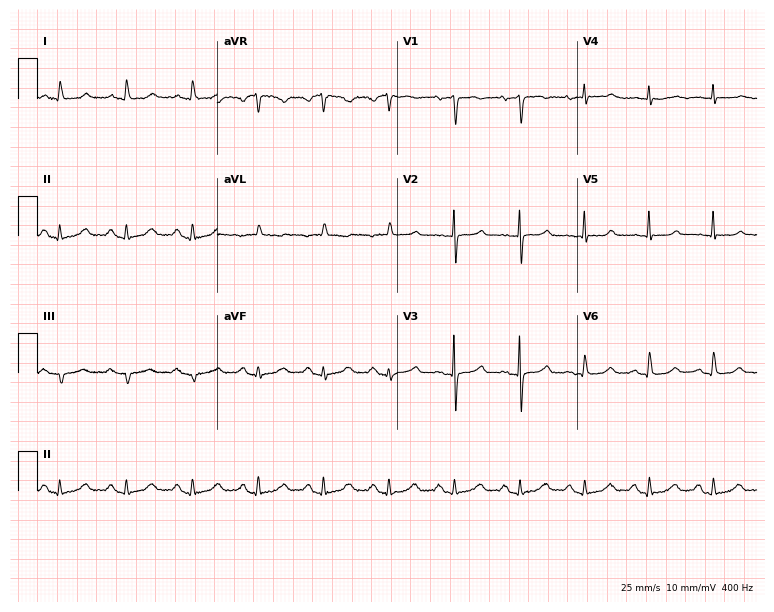
ECG (7.3-second recording at 400 Hz) — a female, 78 years old. Screened for six findings — first-degree AV block, right bundle branch block, left bundle branch block, sinus bradycardia, atrial fibrillation, sinus tachycardia — none is recorded. Other findings, if any, are not listed.